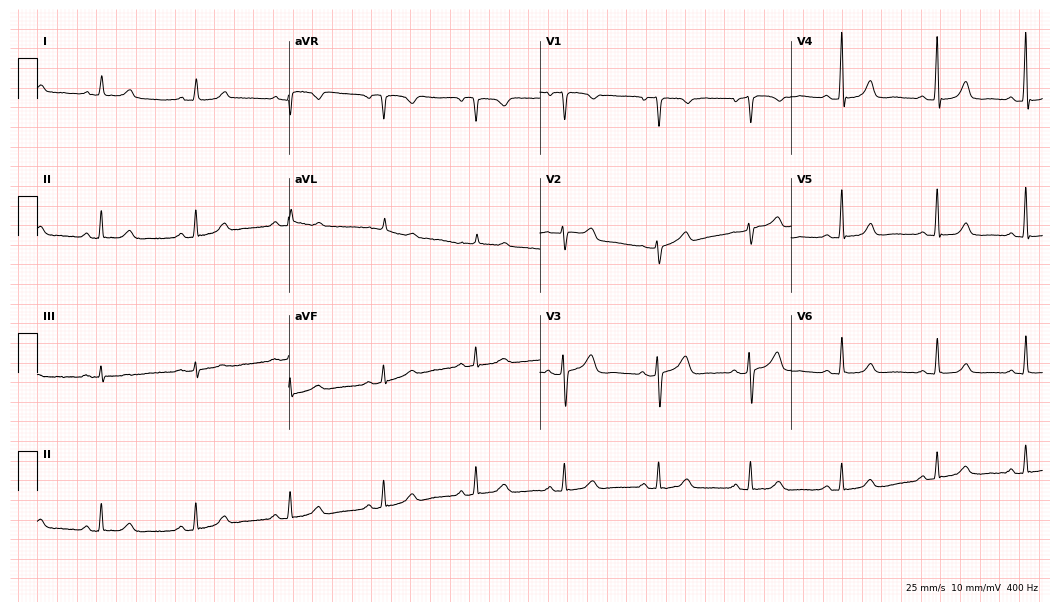
ECG — a 54-year-old female patient. Labelled as a normal ECG.